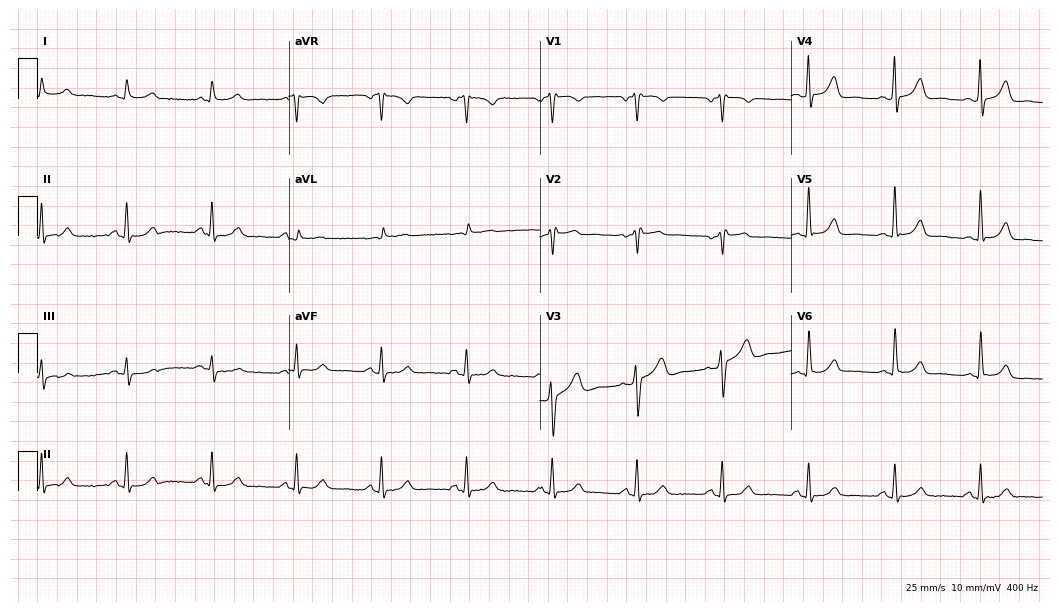
12-lead ECG from a male patient, 61 years old. No first-degree AV block, right bundle branch block (RBBB), left bundle branch block (LBBB), sinus bradycardia, atrial fibrillation (AF) or sinus tachycardia recorded for this tracing.